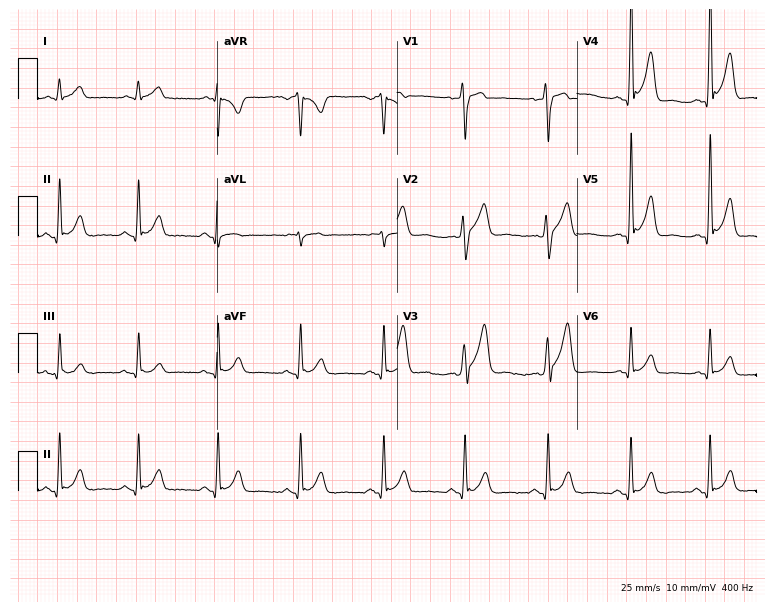
12-lead ECG from a 23-year-old male. No first-degree AV block, right bundle branch block, left bundle branch block, sinus bradycardia, atrial fibrillation or sinus tachycardia recorded for this tracing.